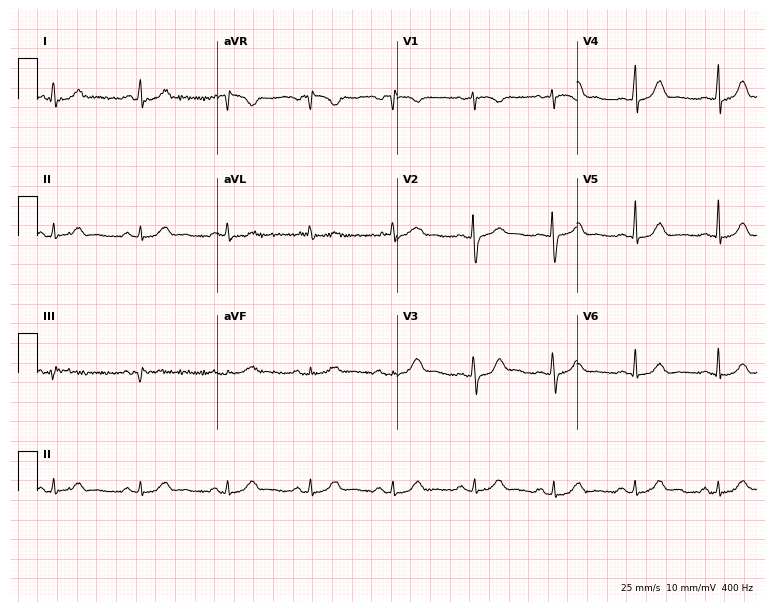
12-lead ECG from a female patient, 40 years old. Labelled as a normal ECG.